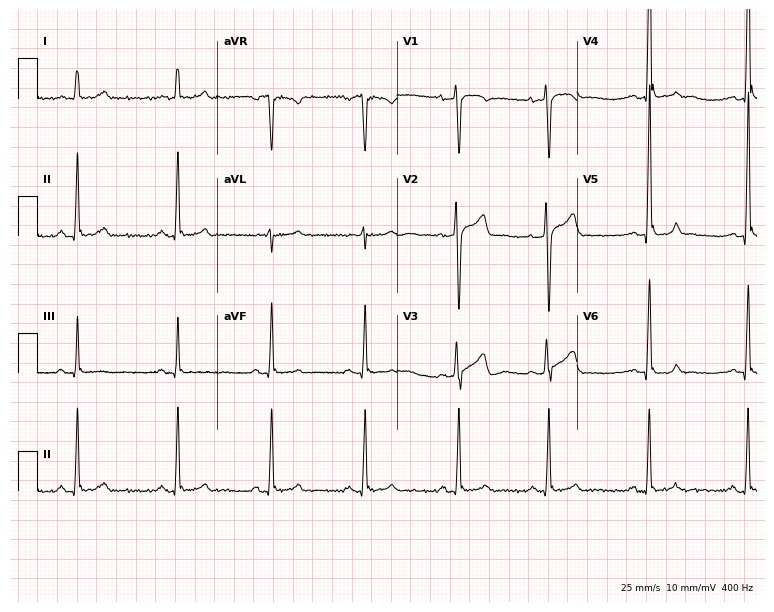
12-lead ECG (7.3-second recording at 400 Hz) from a male patient, 25 years old. Screened for six findings — first-degree AV block, right bundle branch block (RBBB), left bundle branch block (LBBB), sinus bradycardia, atrial fibrillation (AF), sinus tachycardia — none is recorded. Only these six findings were labelled.